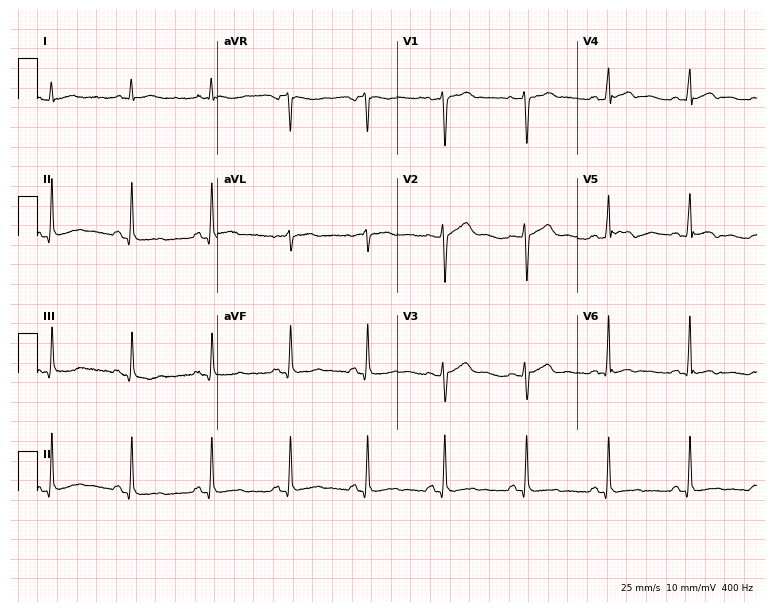
Resting 12-lead electrocardiogram. Patient: a man, 32 years old. None of these six findings is recorded: first-degree AV block, right bundle branch block, left bundle branch block, sinus bradycardia, atrial fibrillation, sinus tachycardia.